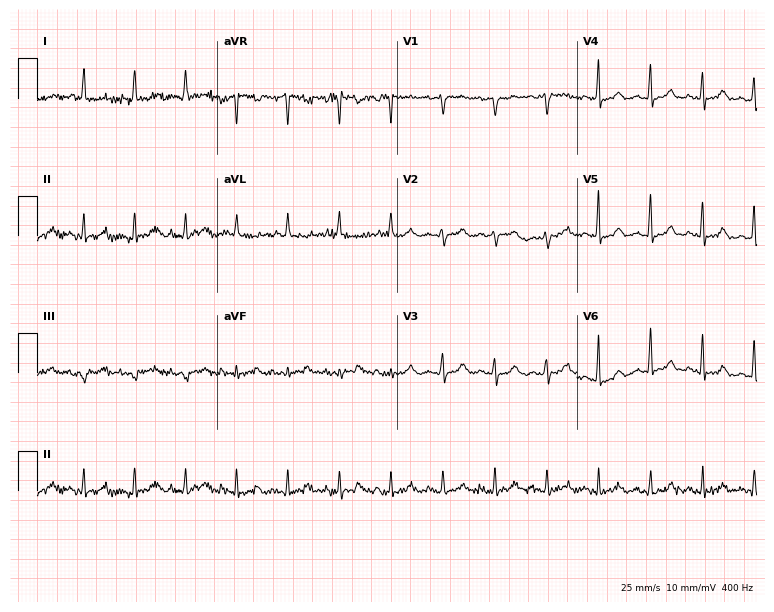
Resting 12-lead electrocardiogram. Patient: a woman, 49 years old. The tracing shows sinus tachycardia (a sinus rate of 100 beats per minute or more).